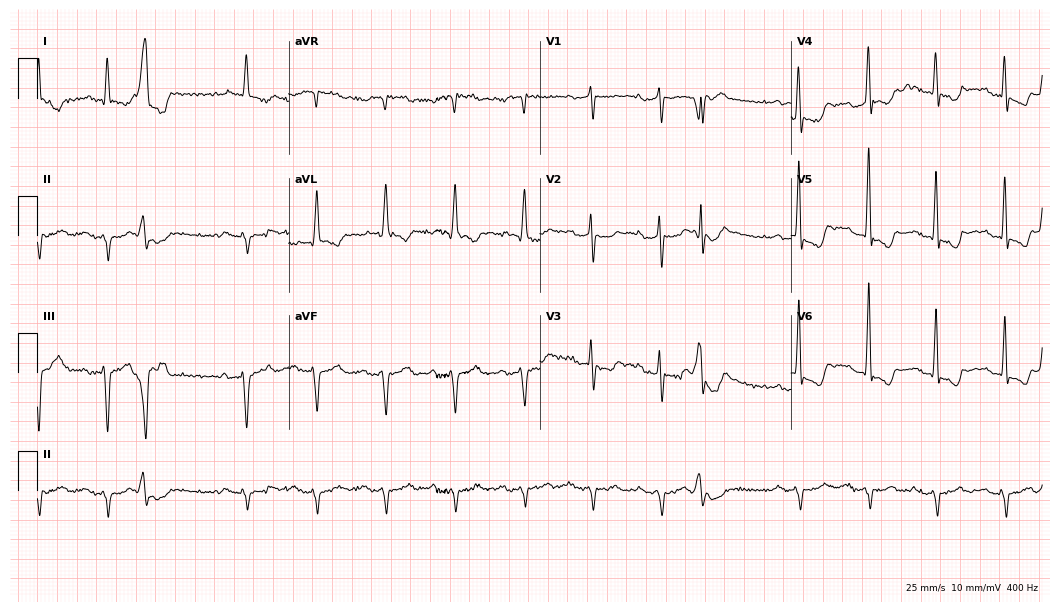
ECG — a 73-year-old man. Screened for six findings — first-degree AV block, right bundle branch block, left bundle branch block, sinus bradycardia, atrial fibrillation, sinus tachycardia — none is recorded.